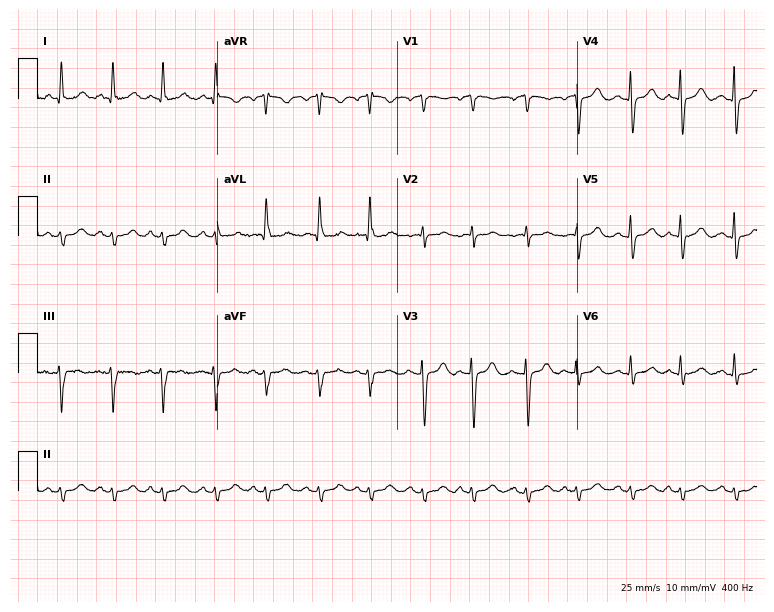
ECG (7.3-second recording at 400 Hz) — a 61-year-old female patient. Findings include sinus tachycardia (a sinus rate of 100 beats per minute or more).